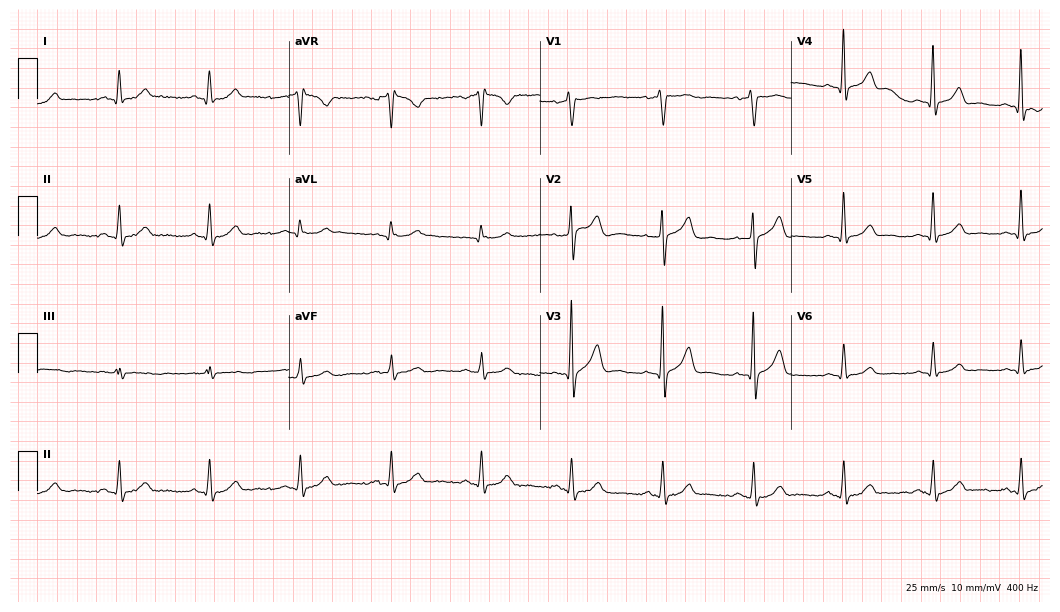
Standard 12-lead ECG recorded from a man, 51 years old (10.2-second recording at 400 Hz). None of these six findings is recorded: first-degree AV block, right bundle branch block (RBBB), left bundle branch block (LBBB), sinus bradycardia, atrial fibrillation (AF), sinus tachycardia. Only these six findings were labelled.